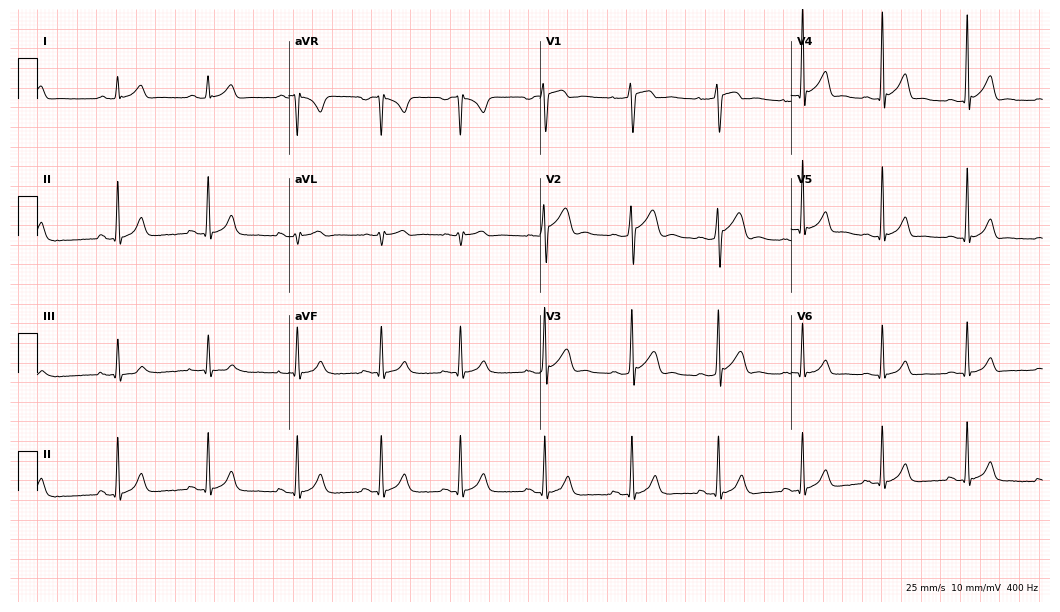
Electrocardiogram (10.2-second recording at 400 Hz), a man, 18 years old. Overall reading on record: normal ECG.